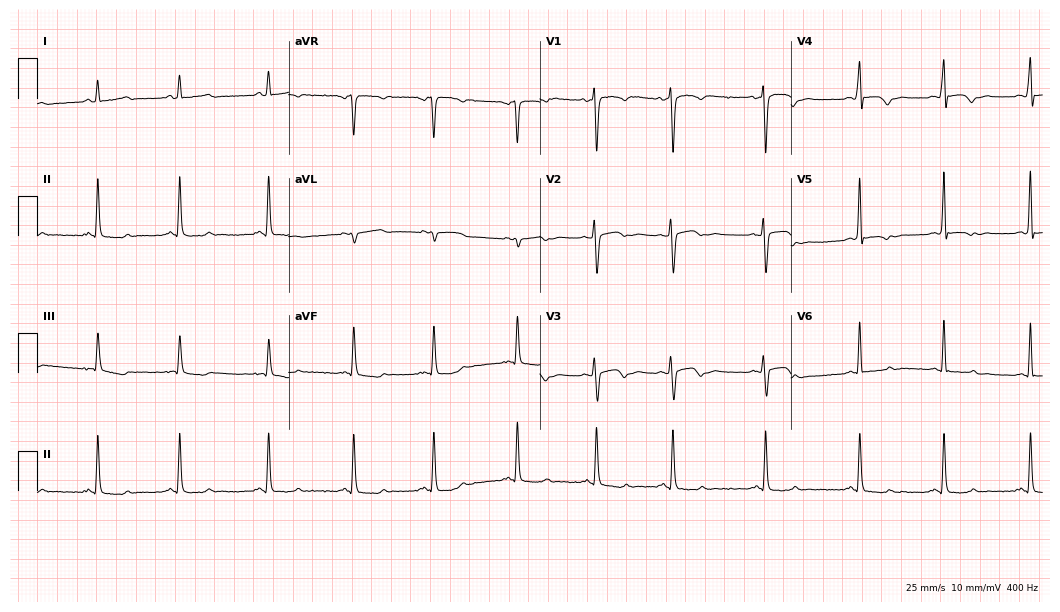
Standard 12-lead ECG recorded from a male patient, 62 years old. None of these six findings is recorded: first-degree AV block, right bundle branch block (RBBB), left bundle branch block (LBBB), sinus bradycardia, atrial fibrillation (AF), sinus tachycardia. Other findings, if any, are not listed.